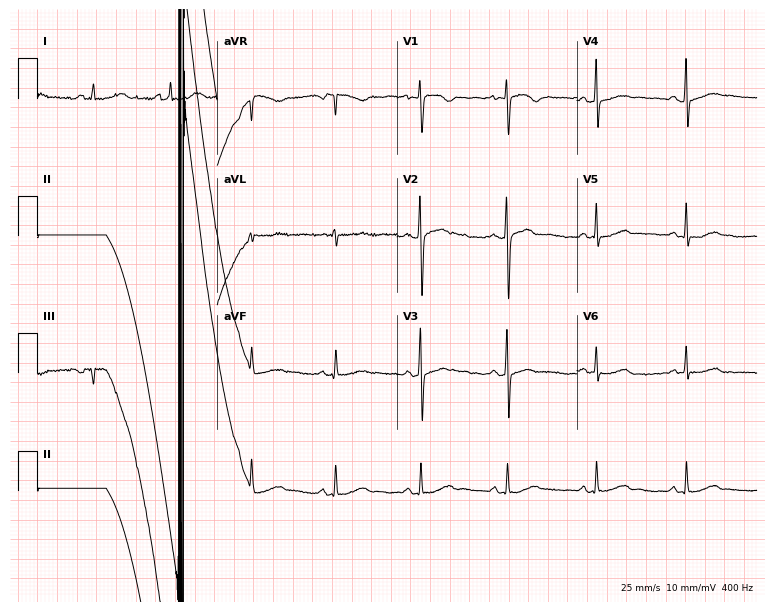
Standard 12-lead ECG recorded from a woman, 38 years old. None of these six findings is recorded: first-degree AV block, right bundle branch block, left bundle branch block, sinus bradycardia, atrial fibrillation, sinus tachycardia. Only these six findings were labelled.